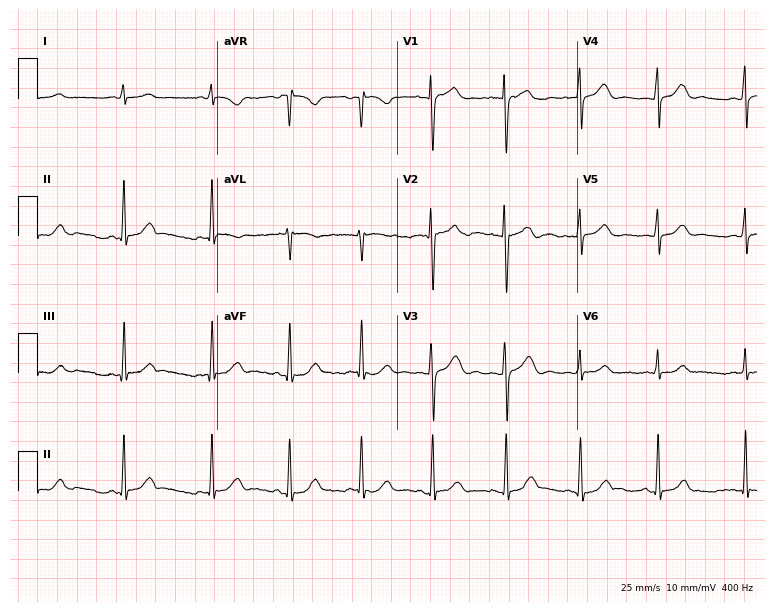
12-lead ECG (7.3-second recording at 400 Hz) from a 24-year-old woman. Labelled as a normal ECG.